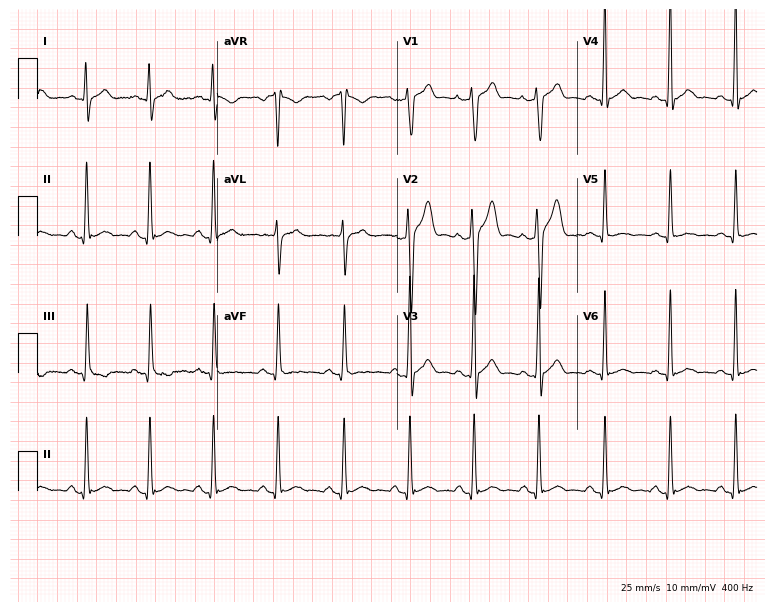
Electrocardiogram, a man, 22 years old. Overall reading on record: normal ECG.